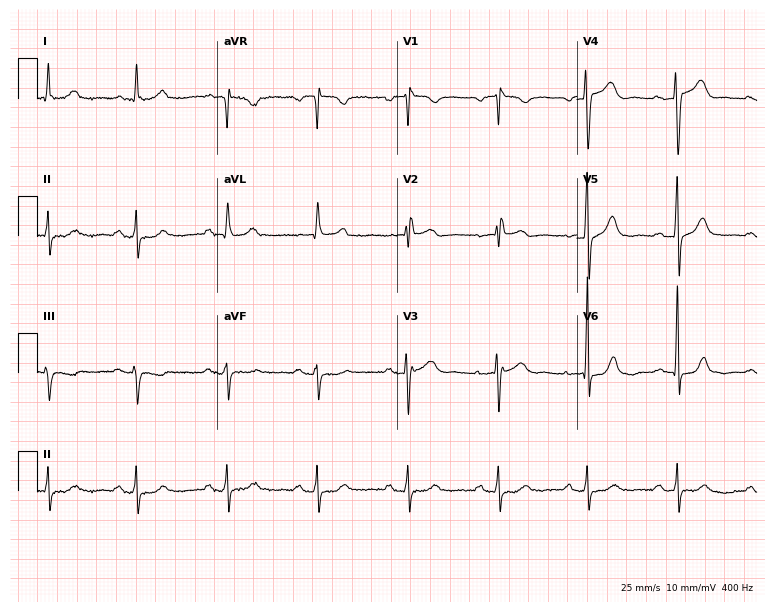
12-lead ECG (7.3-second recording at 400 Hz) from a female, 61 years old. Screened for six findings — first-degree AV block, right bundle branch block, left bundle branch block, sinus bradycardia, atrial fibrillation, sinus tachycardia — none is recorded. Other findings, if any, are not listed.